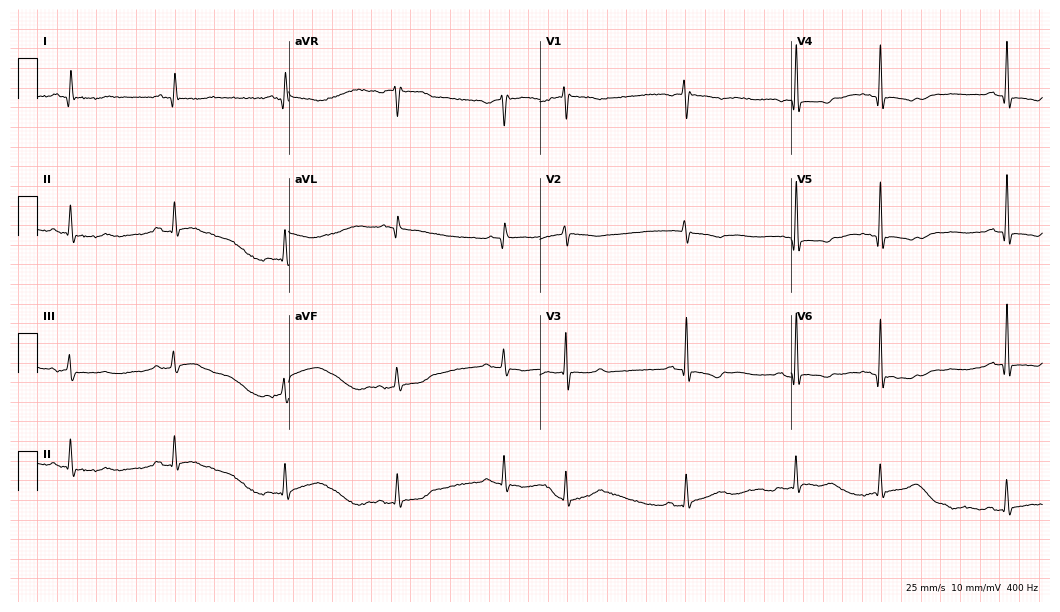
12-lead ECG from a male, 82 years old. No first-degree AV block, right bundle branch block (RBBB), left bundle branch block (LBBB), sinus bradycardia, atrial fibrillation (AF) or sinus tachycardia recorded for this tracing.